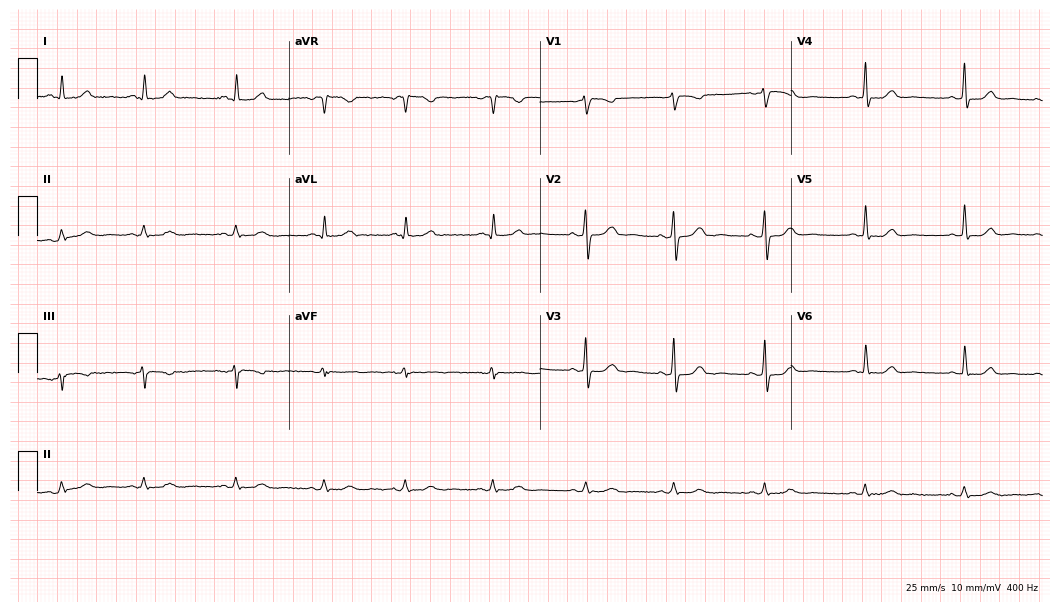
Electrocardiogram, a 43-year-old female. Of the six screened findings (first-degree AV block, right bundle branch block, left bundle branch block, sinus bradycardia, atrial fibrillation, sinus tachycardia), none is recorded.